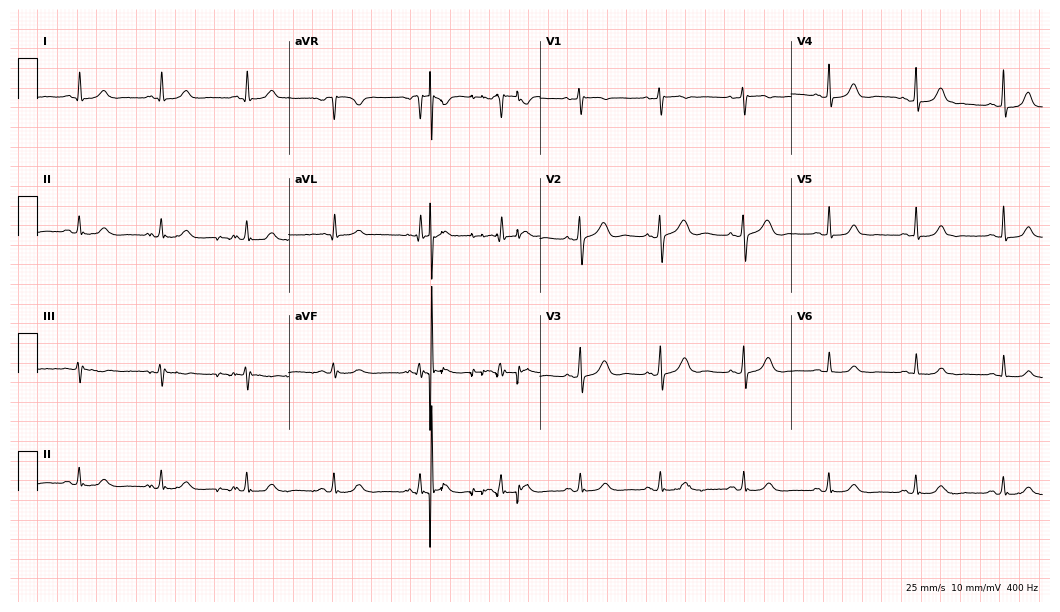
Resting 12-lead electrocardiogram (10.2-second recording at 400 Hz). Patient: a female, 43 years old. None of these six findings is recorded: first-degree AV block, right bundle branch block (RBBB), left bundle branch block (LBBB), sinus bradycardia, atrial fibrillation (AF), sinus tachycardia.